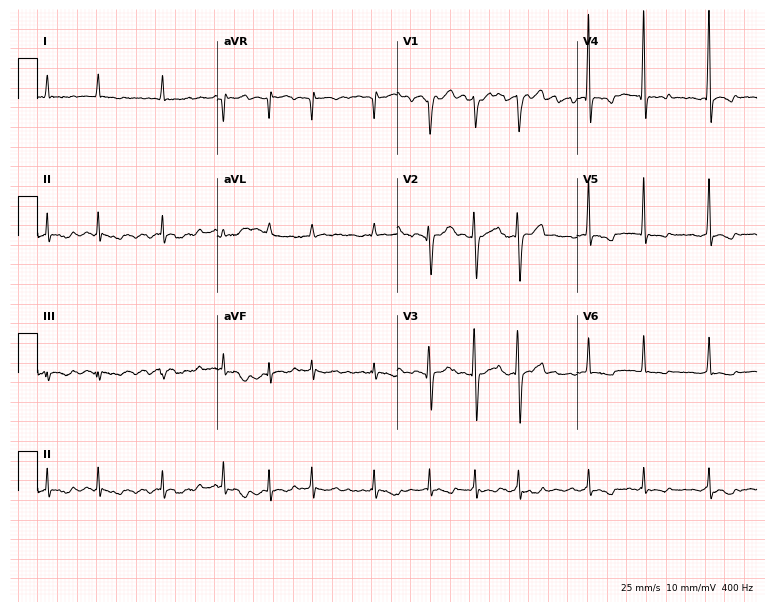
12-lead ECG from a man, 76 years old. Findings include atrial fibrillation.